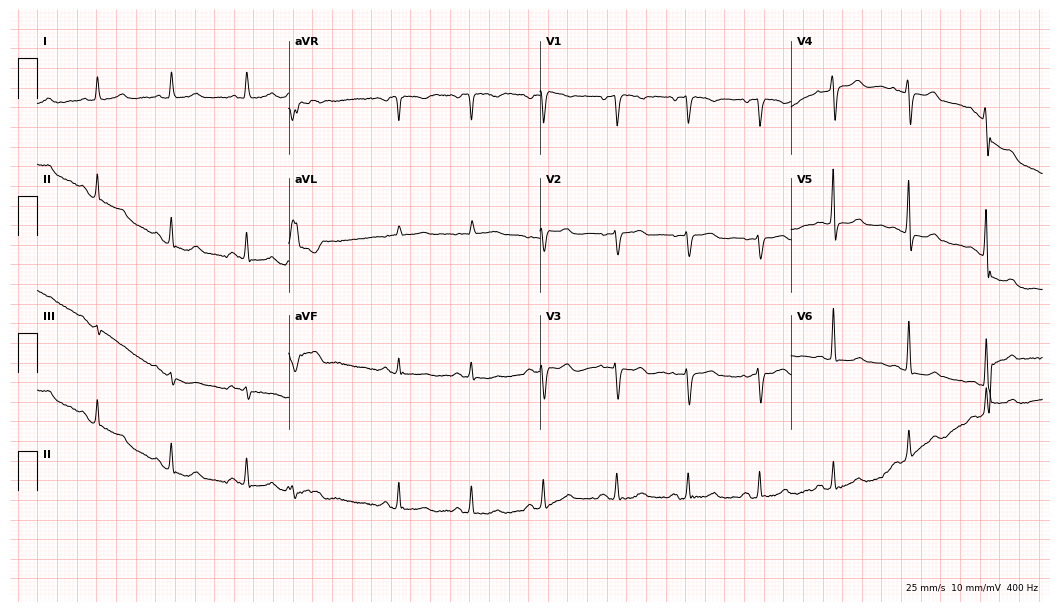
Resting 12-lead electrocardiogram. Patient: a female, 69 years old. Read as a normal ECG.